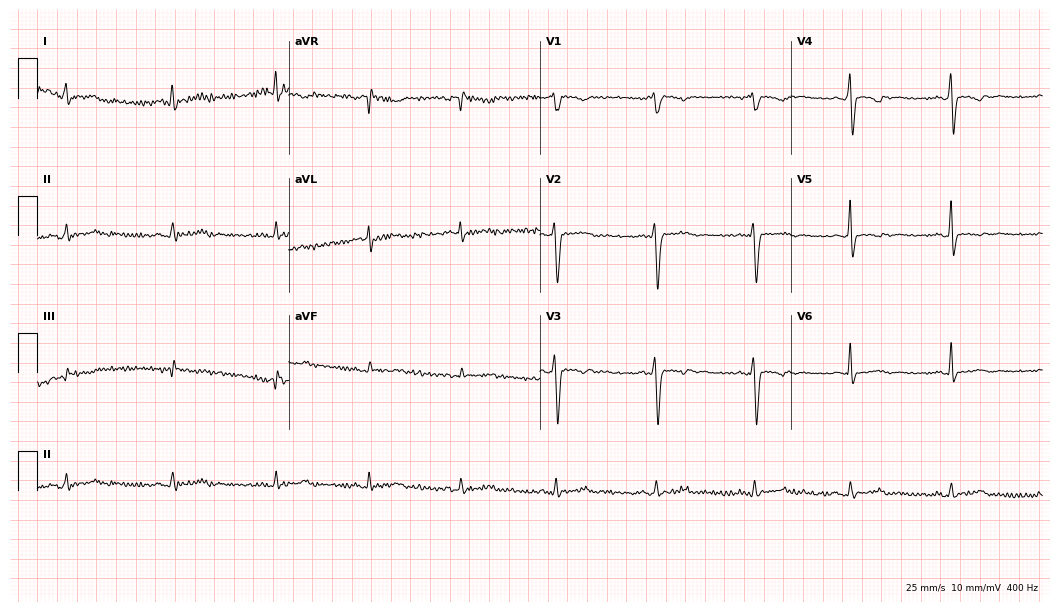
12-lead ECG from a man, 28 years old (10.2-second recording at 400 Hz). No first-degree AV block, right bundle branch block (RBBB), left bundle branch block (LBBB), sinus bradycardia, atrial fibrillation (AF) or sinus tachycardia recorded for this tracing. Only these six findings were labelled.